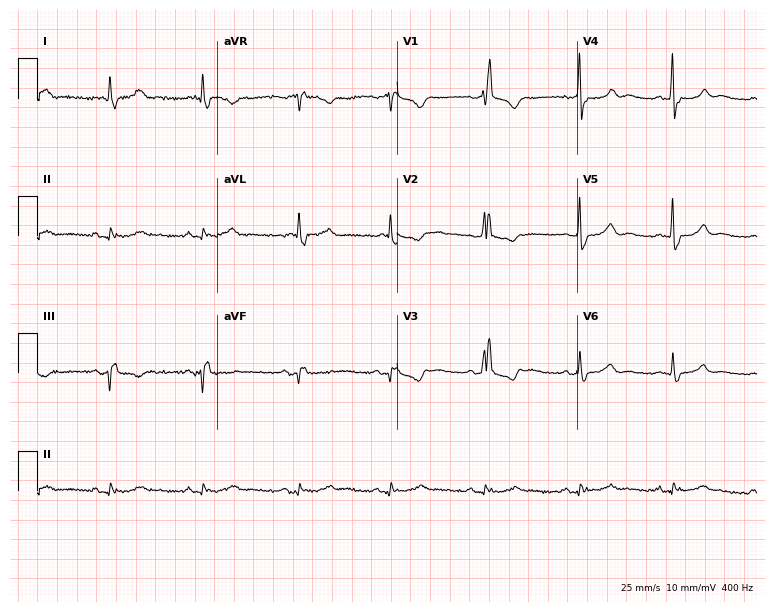
ECG (7.3-second recording at 400 Hz) — an 81-year-old man. Findings include right bundle branch block (RBBB).